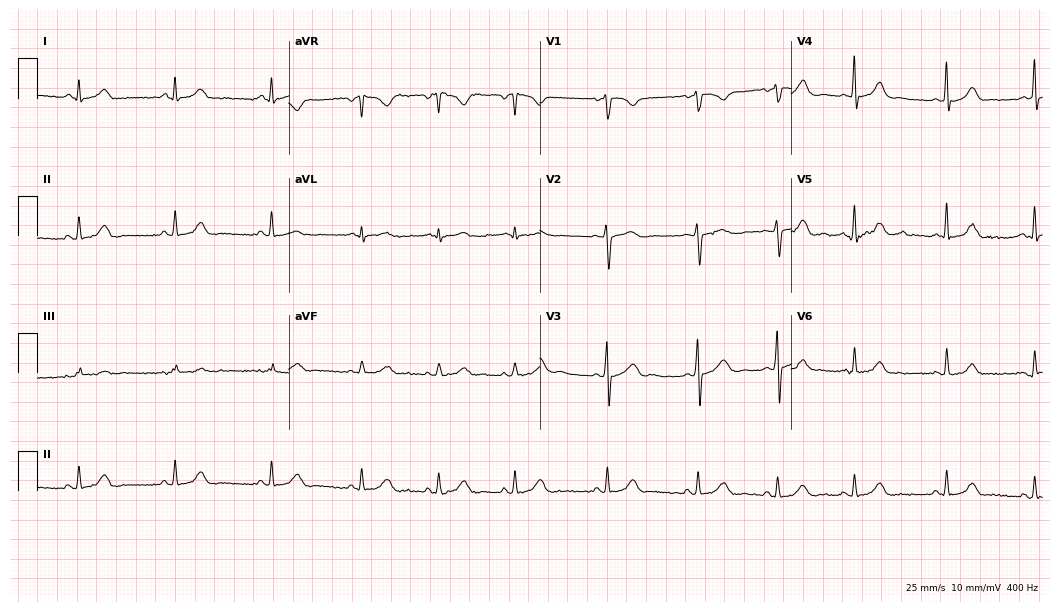
ECG — a woman, 26 years old. Labelled as a normal ECG.